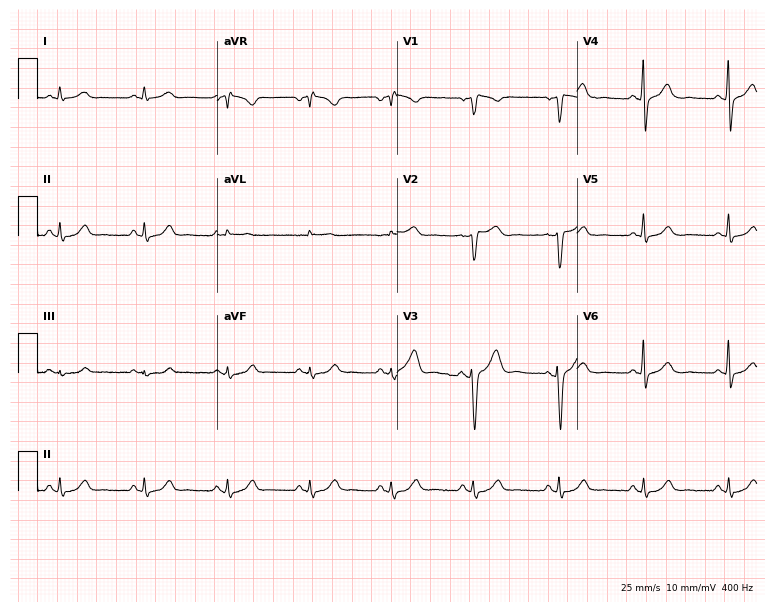
12-lead ECG from a man, 70 years old. Screened for six findings — first-degree AV block, right bundle branch block, left bundle branch block, sinus bradycardia, atrial fibrillation, sinus tachycardia — none is recorded. Other findings, if any, are not listed.